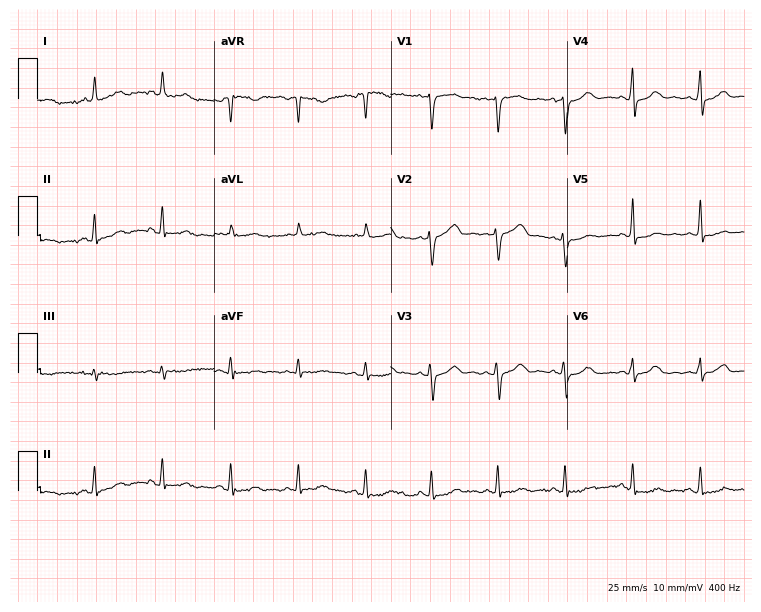
12-lead ECG (7.2-second recording at 400 Hz) from a 53-year-old woman. Labelled as a normal ECG.